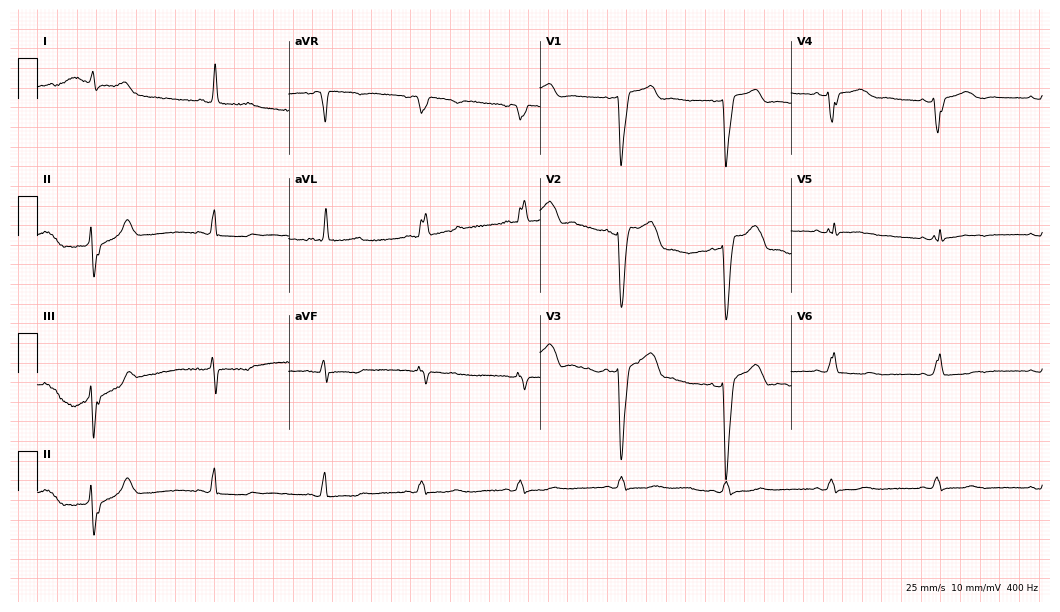
12-lead ECG (10.2-second recording at 400 Hz) from a female, 68 years old. Screened for six findings — first-degree AV block, right bundle branch block, left bundle branch block, sinus bradycardia, atrial fibrillation, sinus tachycardia — none is recorded.